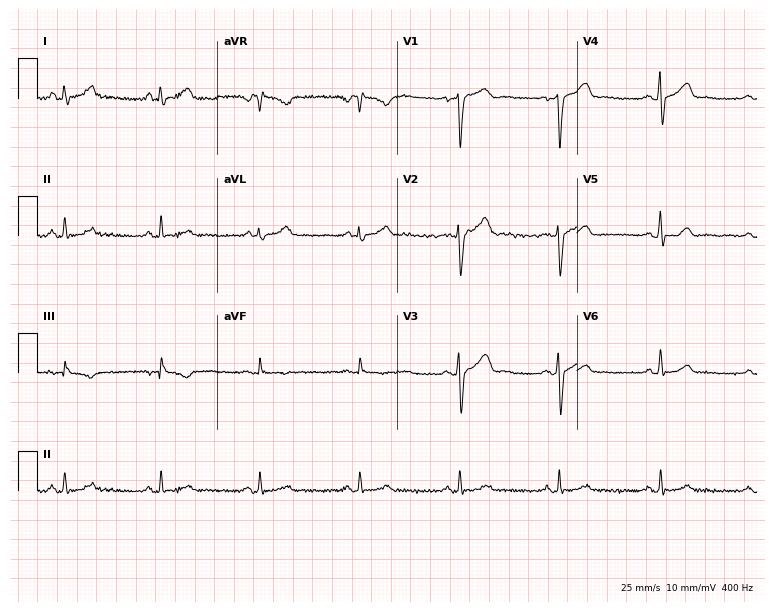
ECG (7.3-second recording at 400 Hz) — a male, 42 years old. Screened for six findings — first-degree AV block, right bundle branch block, left bundle branch block, sinus bradycardia, atrial fibrillation, sinus tachycardia — none is recorded.